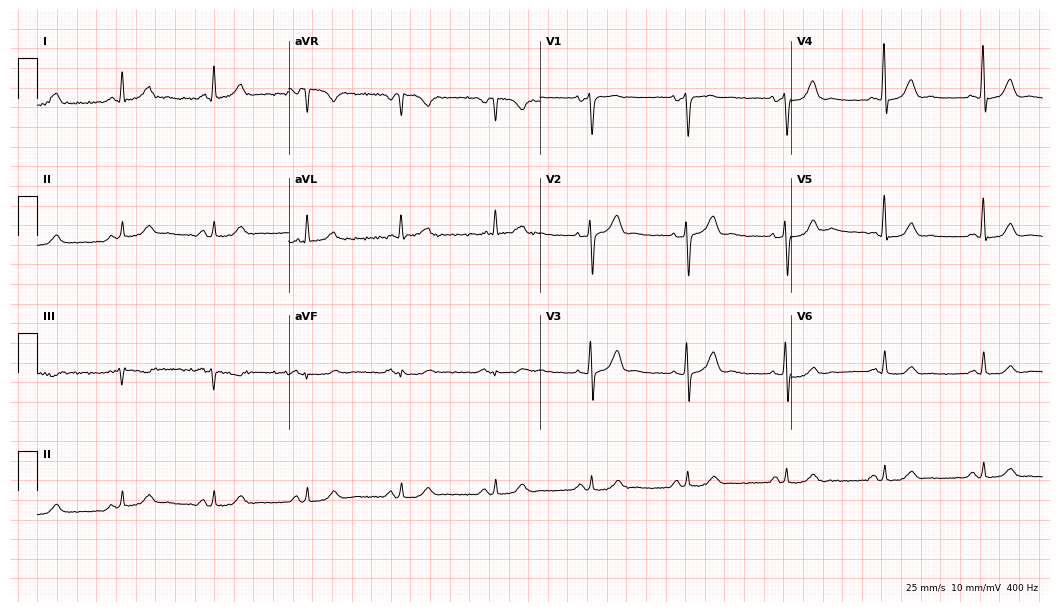
12-lead ECG from a male patient, 78 years old (10.2-second recording at 400 Hz). No first-degree AV block, right bundle branch block, left bundle branch block, sinus bradycardia, atrial fibrillation or sinus tachycardia recorded for this tracing. Other findings, if any, are not listed.